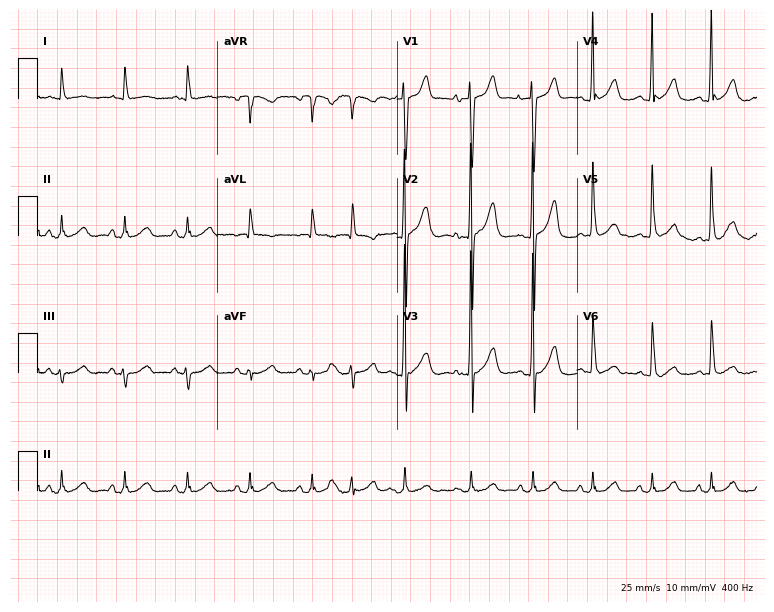
ECG — a 72-year-old man. Labelled as a normal ECG.